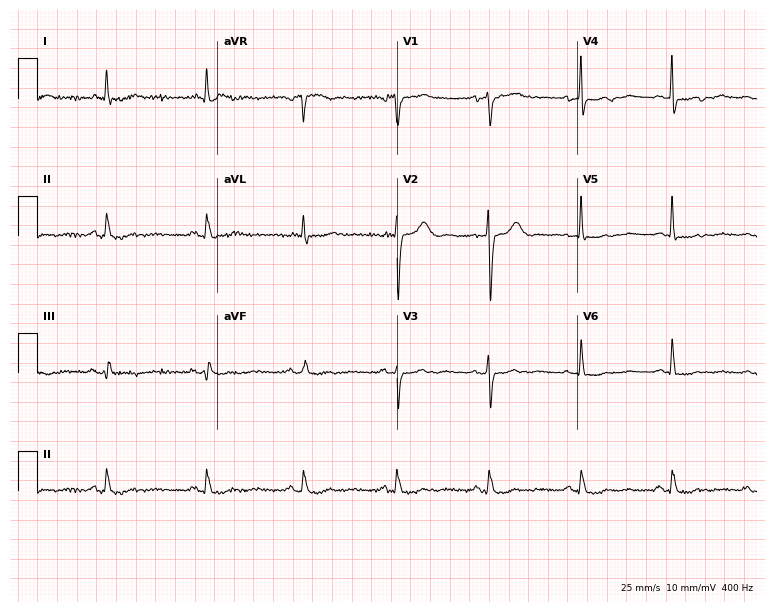
Electrocardiogram, a 70-year-old woman. Of the six screened findings (first-degree AV block, right bundle branch block (RBBB), left bundle branch block (LBBB), sinus bradycardia, atrial fibrillation (AF), sinus tachycardia), none is recorded.